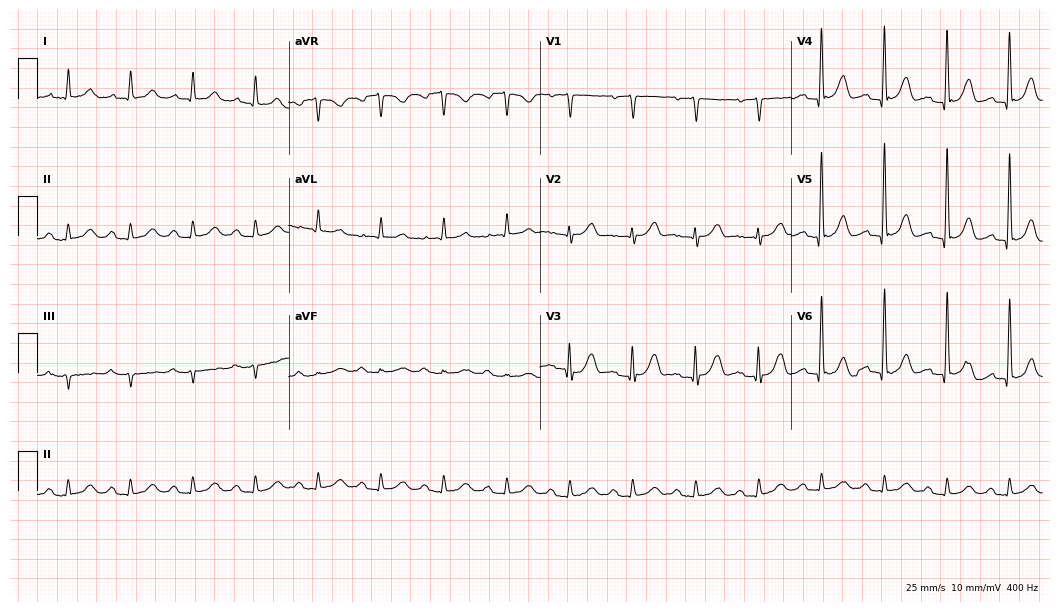
Standard 12-lead ECG recorded from an 85-year-old man. Read as a normal ECG.